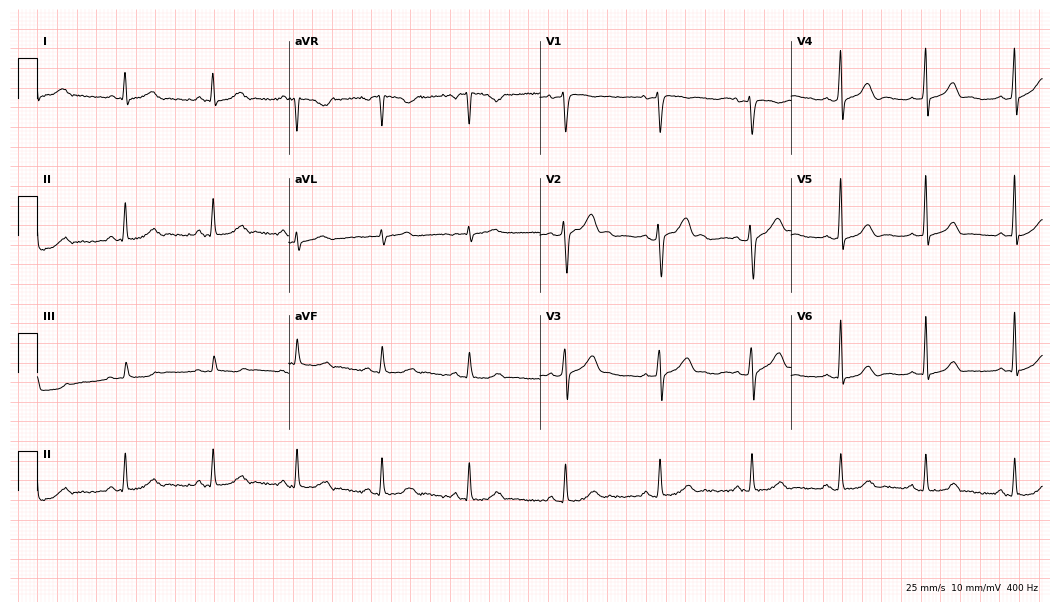
Electrocardiogram (10.2-second recording at 400 Hz), a man, 38 years old. Overall reading on record: normal ECG.